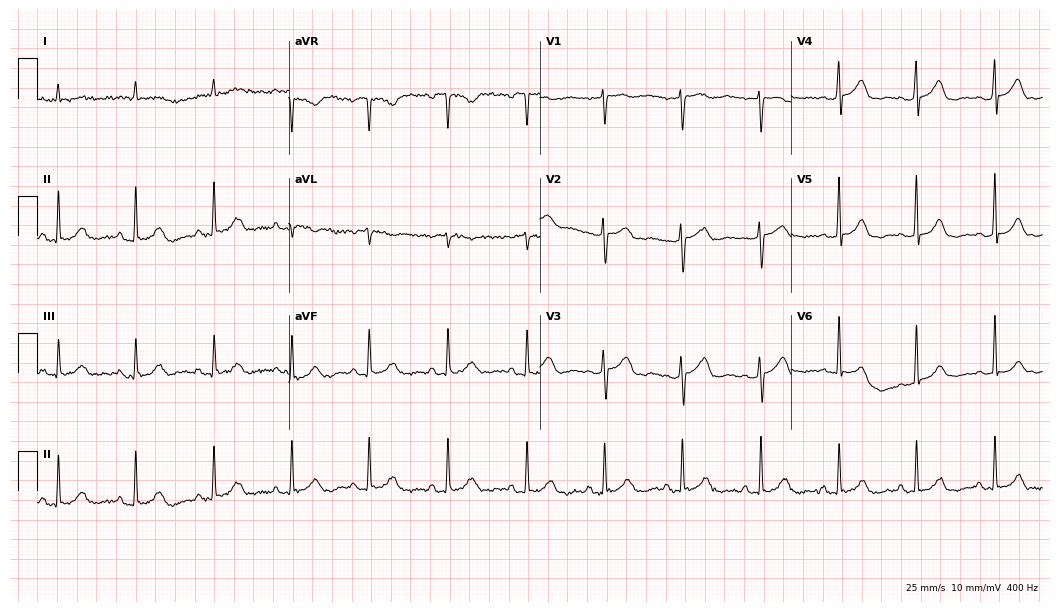
ECG (10.2-second recording at 400 Hz) — a woman, 82 years old. Labelled as a normal ECG.